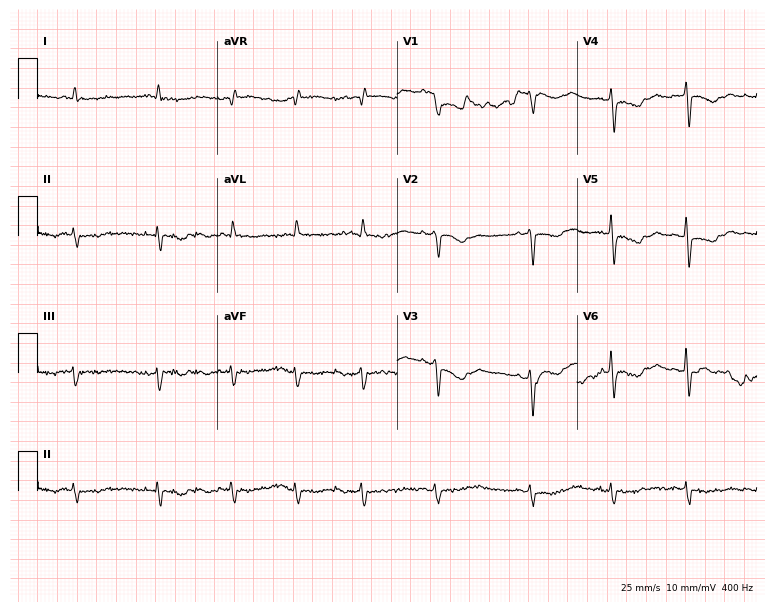
12-lead ECG from a female patient, 85 years old (7.3-second recording at 400 Hz). No first-degree AV block, right bundle branch block (RBBB), left bundle branch block (LBBB), sinus bradycardia, atrial fibrillation (AF) or sinus tachycardia recorded for this tracing.